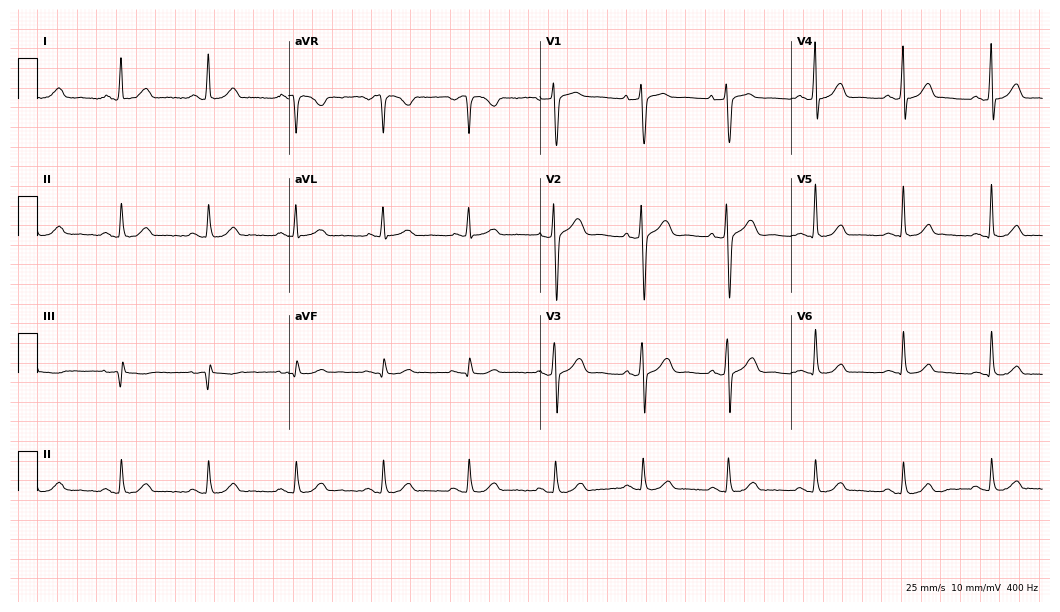
Standard 12-lead ECG recorded from a woman, 42 years old. None of these six findings is recorded: first-degree AV block, right bundle branch block, left bundle branch block, sinus bradycardia, atrial fibrillation, sinus tachycardia. Other findings, if any, are not listed.